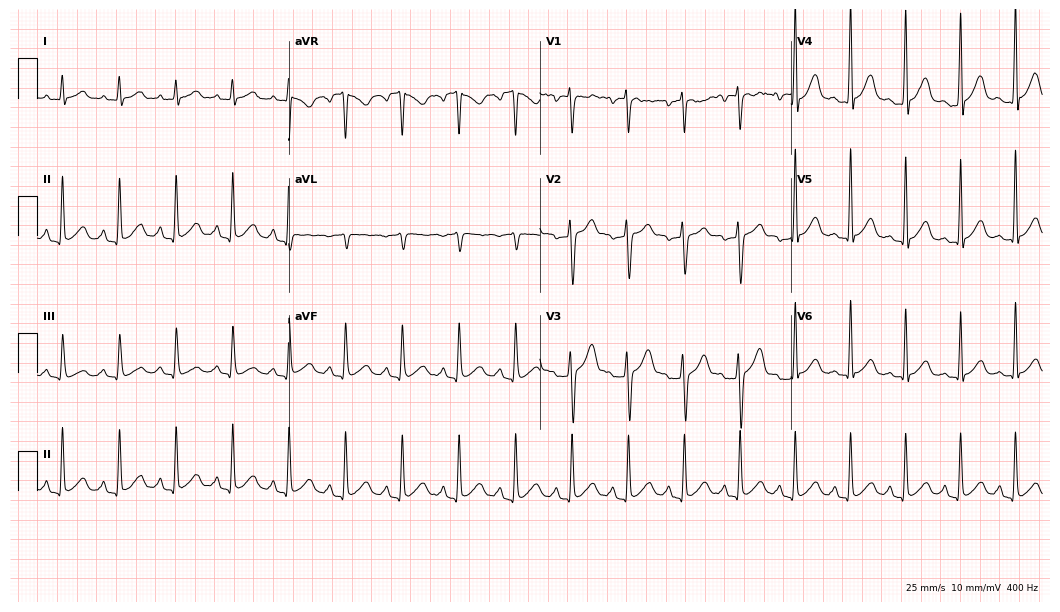
Electrocardiogram (10.2-second recording at 400 Hz), a man, 19 years old. Overall reading on record: normal ECG.